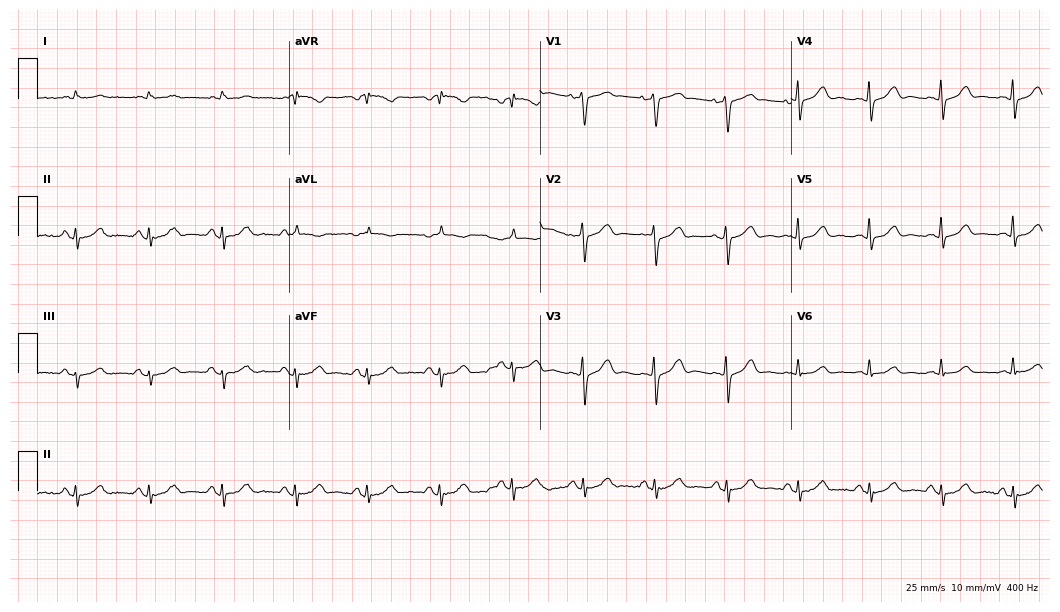
ECG (10.2-second recording at 400 Hz) — a 69-year-old man. Labelled as a normal ECG.